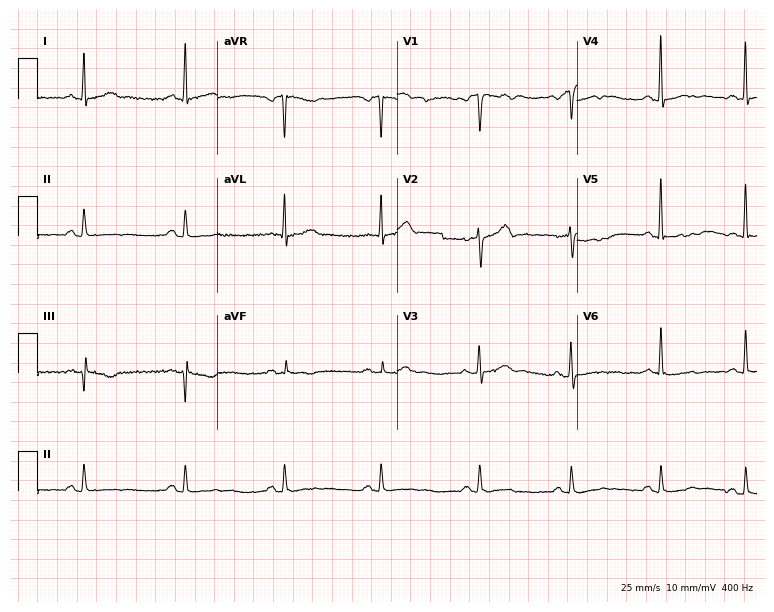
Resting 12-lead electrocardiogram (7.3-second recording at 400 Hz). Patient: a 49-year-old male. None of these six findings is recorded: first-degree AV block, right bundle branch block, left bundle branch block, sinus bradycardia, atrial fibrillation, sinus tachycardia.